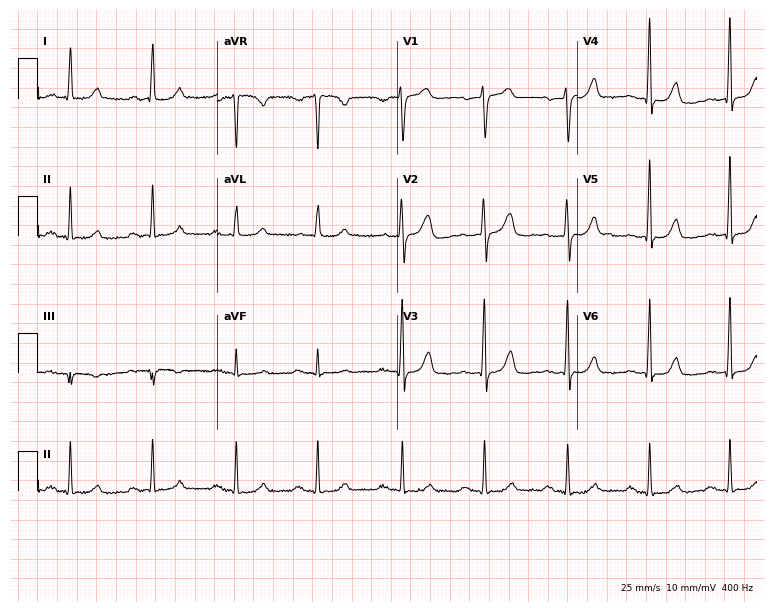
Resting 12-lead electrocardiogram (7.3-second recording at 400 Hz). Patient: a 55-year-old female. None of these six findings is recorded: first-degree AV block, right bundle branch block, left bundle branch block, sinus bradycardia, atrial fibrillation, sinus tachycardia. Only these six findings were labelled.